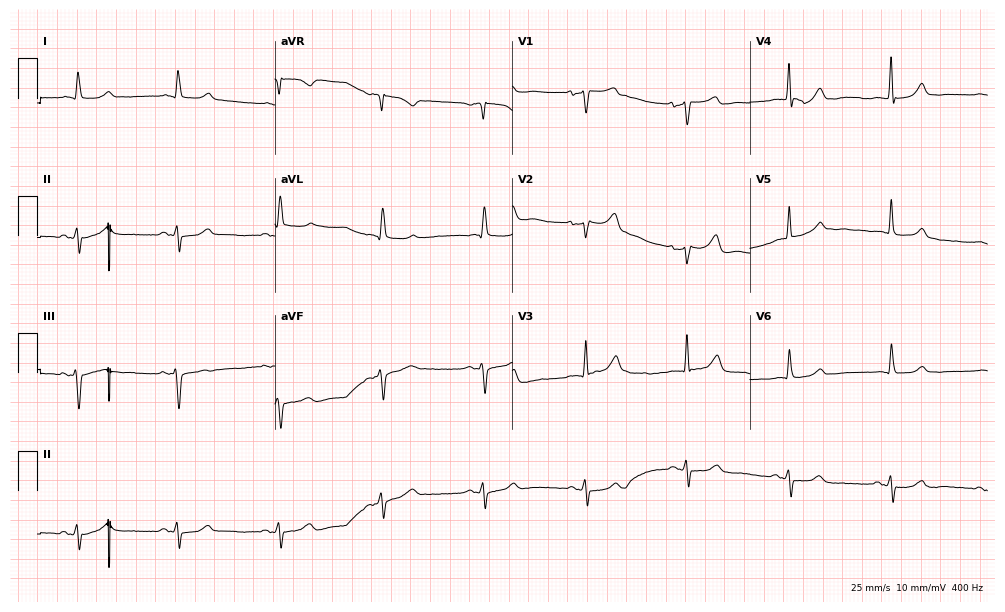
Resting 12-lead electrocardiogram (9.7-second recording at 400 Hz). Patient: a female, 84 years old. Read as a normal ECG.